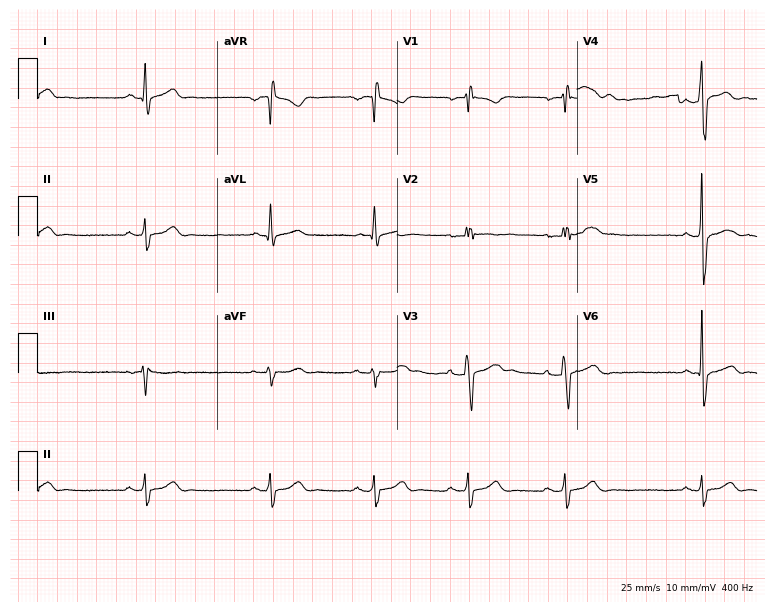
Electrocardiogram (7.3-second recording at 400 Hz), a 24-year-old male. Interpretation includes right bundle branch block (RBBB).